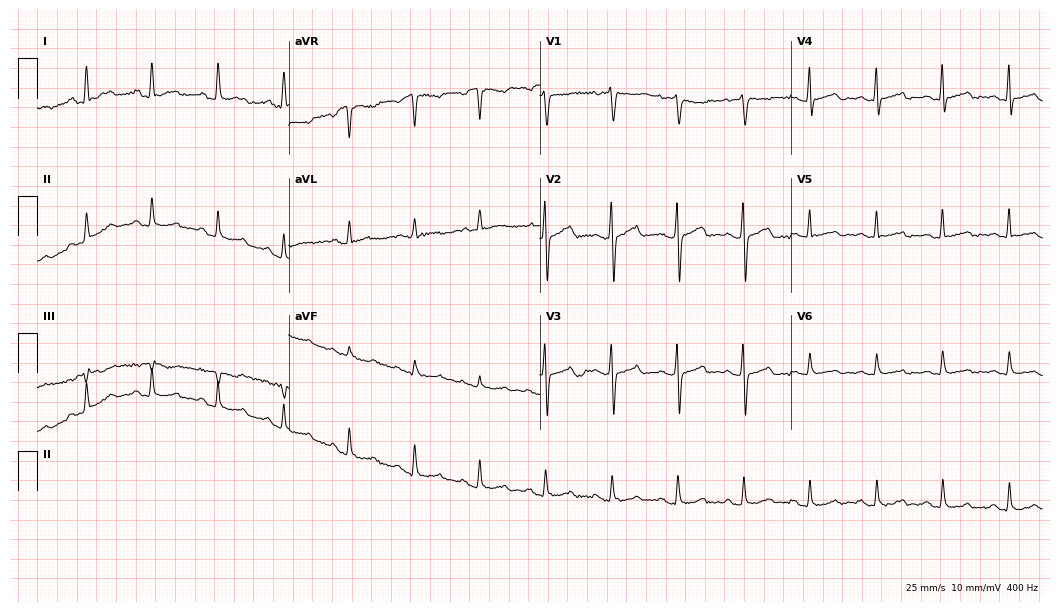
Standard 12-lead ECG recorded from an 80-year-old female patient (10.2-second recording at 400 Hz). Read as a normal ECG.